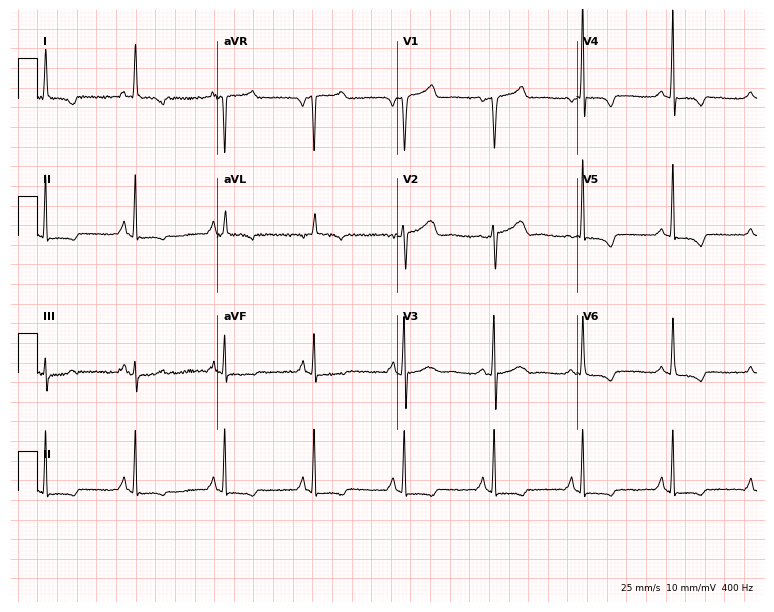
12-lead ECG from a female patient, 49 years old. Screened for six findings — first-degree AV block, right bundle branch block, left bundle branch block, sinus bradycardia, atrial fibrillation, sinus tachycardia — none is recorded. Other findings, if any, are not listed.